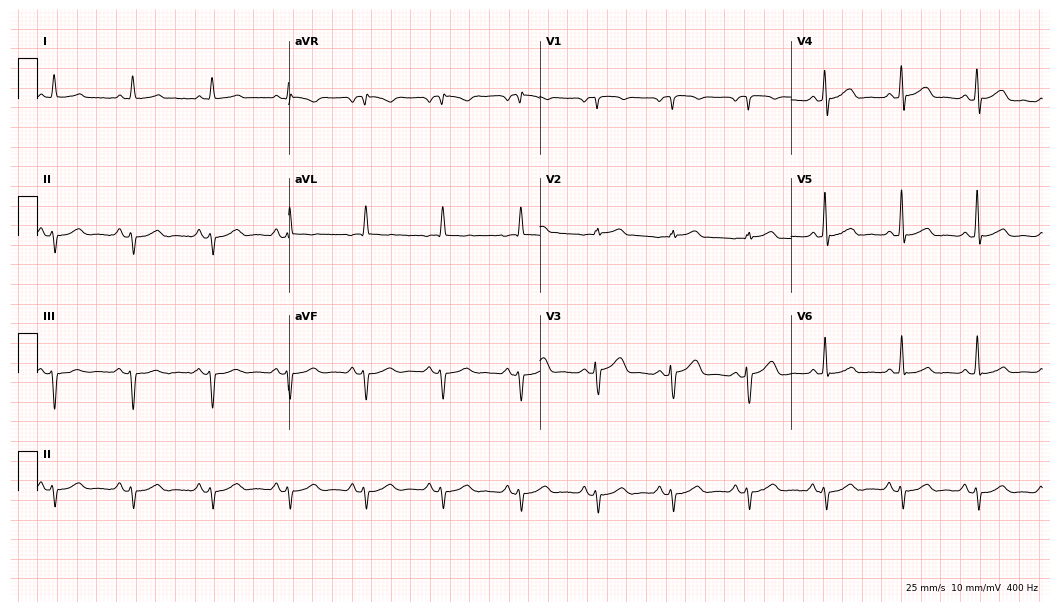
12-lead ECG (10.2-second recording at 400 Hz) from a male, 70 years old. Screened for six findings — first-degree AV block, right bundle branch block, left bundle branch block, sinus bradycardia, atrial fibrillation, sinus tachycardia — none is recorded. Other findings, if any, are not listed.